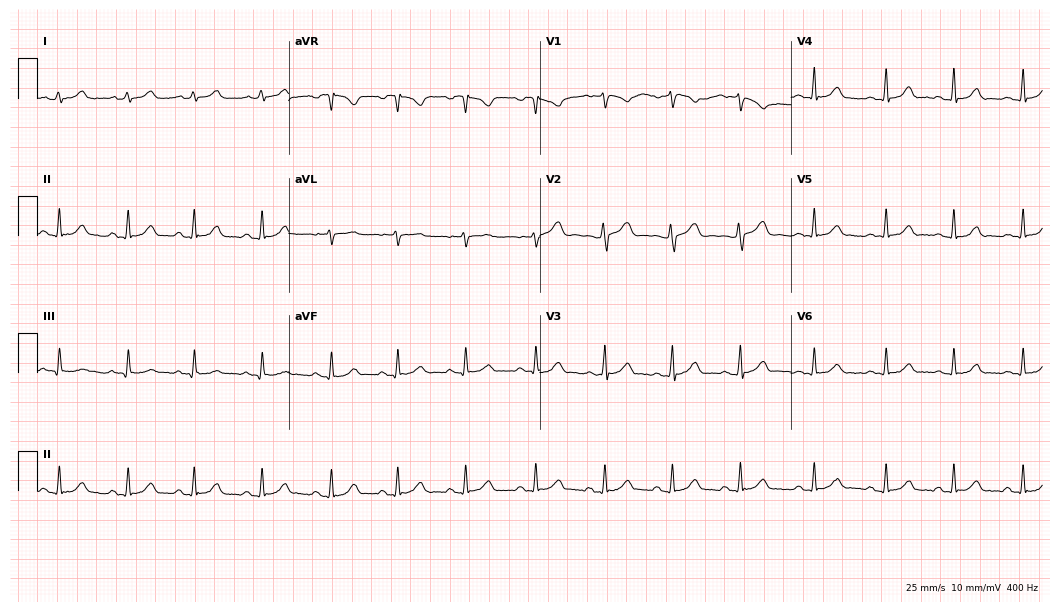
12-lead ECG from a woman, 27 years old. Recorded interpretation: within normal limits.